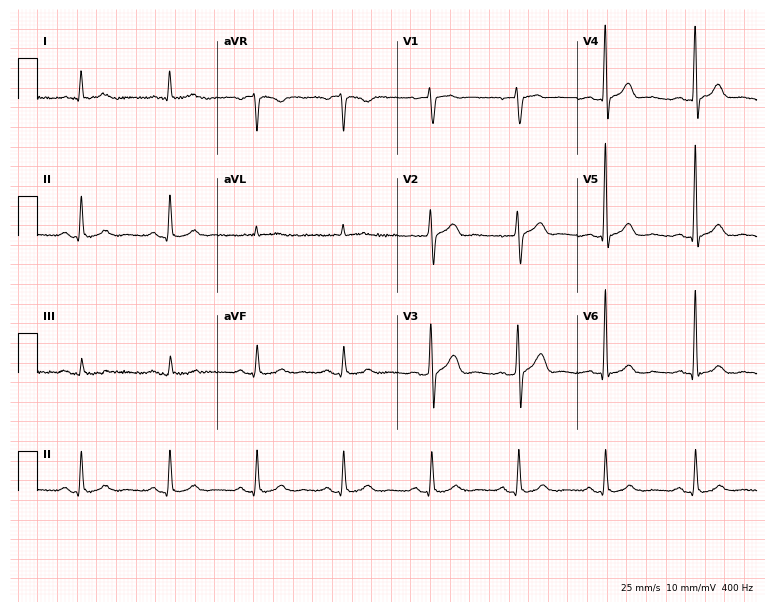
12-lead ECG from a 70-year-old male patient (7.3-second recording at 400 Hz). Recorded interpretation: within normal limits.